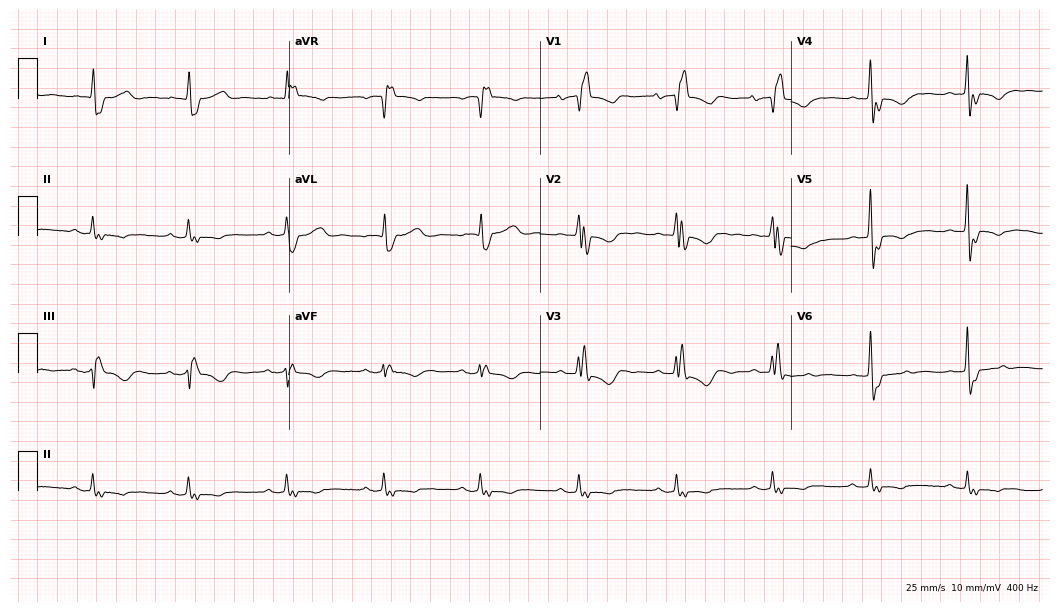
Resting 12-lead electrocardiogram (10.2-second recording at 400 Hz). Patient: an 83-year-old female. The tracing shows right bundle branch block.